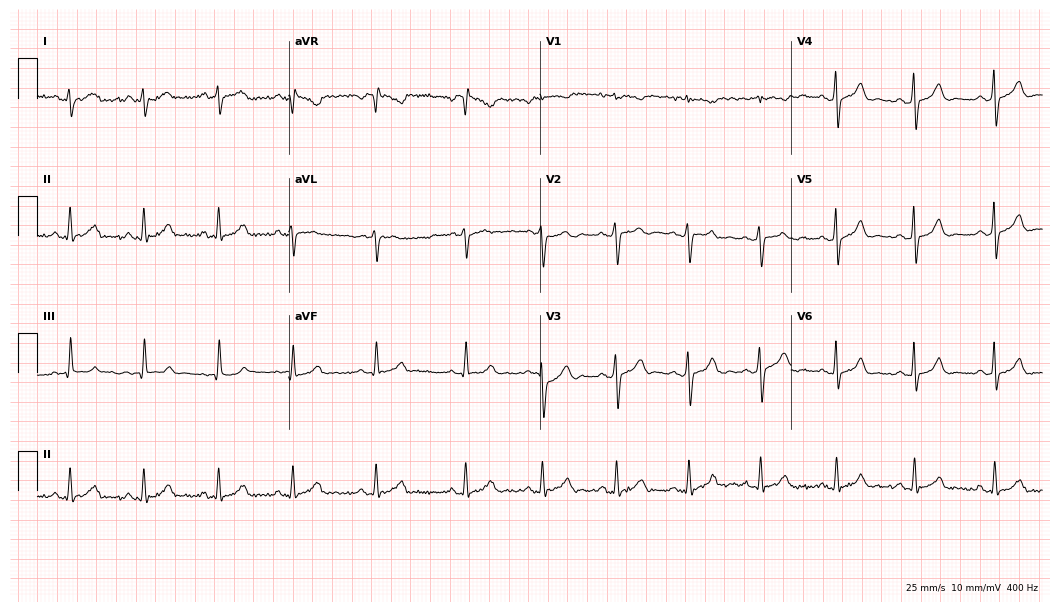
12-lead ECG from a 24-year-old female. Recorded interpretation: within normal limits.